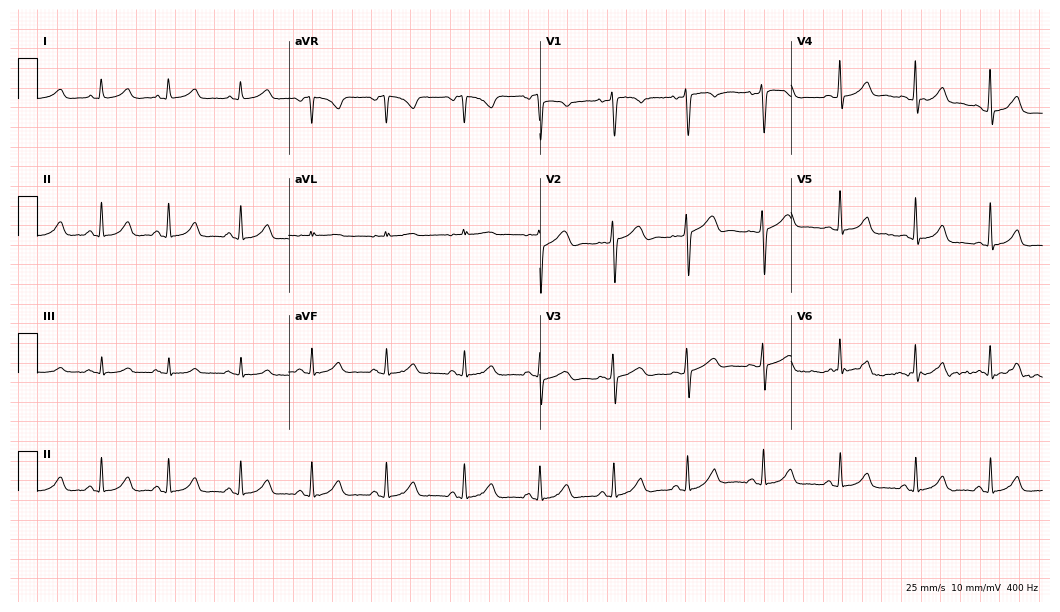
12-lead ECG from a female patient, 42 years old. Recorded interpretation: within normal limits.